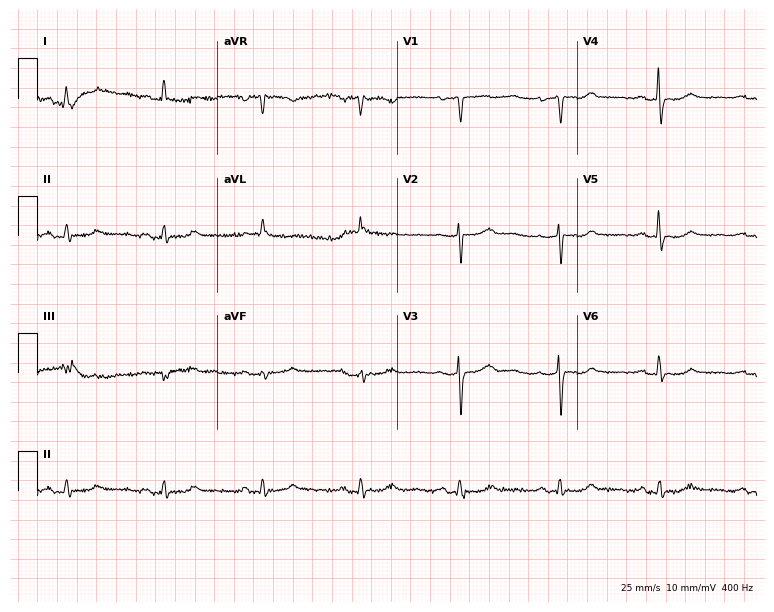
12-lead ECG (7.3-second recording at 400 Hz) from a 72-year-old female. Screened for six findings — first-degree AV block, right bundle branch block, left bundle branch block, sinus bradycardia, atrial fibrillation, sinus tachycardia — none is recorded. Findings outside these six are not listed.